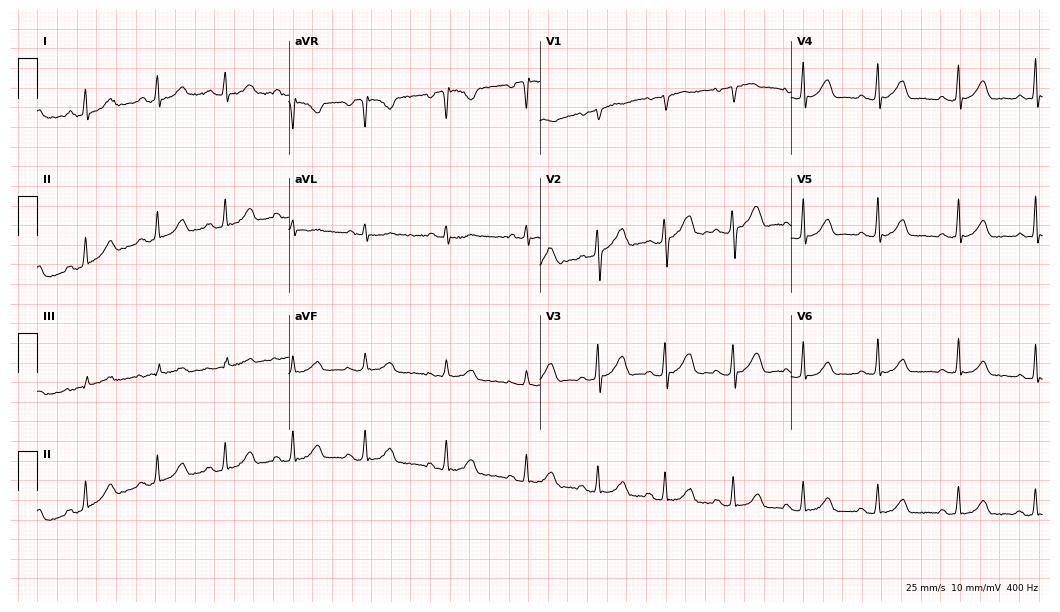
Resting 12-lead electrocardiogram (10.2-second recording at 400 Hz). Patient: a 22-year-old woman. None of these six findings is recorded: first-degree AV block, right bundle branch block, left bundle branch block, sinus bradycardia, atrial fibrillation, sinus tachycardia.